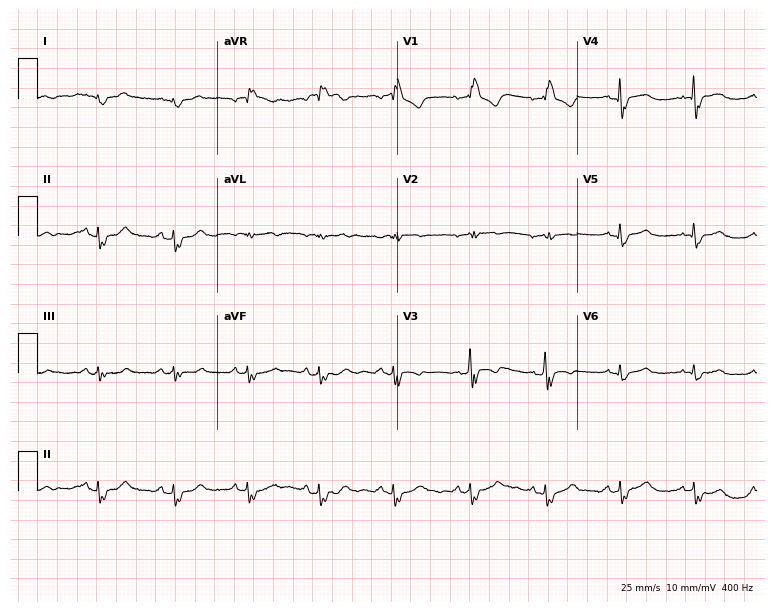
12-lead ECG (7.3-second recording at 400 Hz) from a man, 61 years old. Screened for six findings — first-degree AV block, right bundle branch block (RBBB), left bundle branch block (LBBB), sinus bradycardia, atrial fibrillation (AF), sinus tachycardia — none is recorded. Only these six findings were labelled.